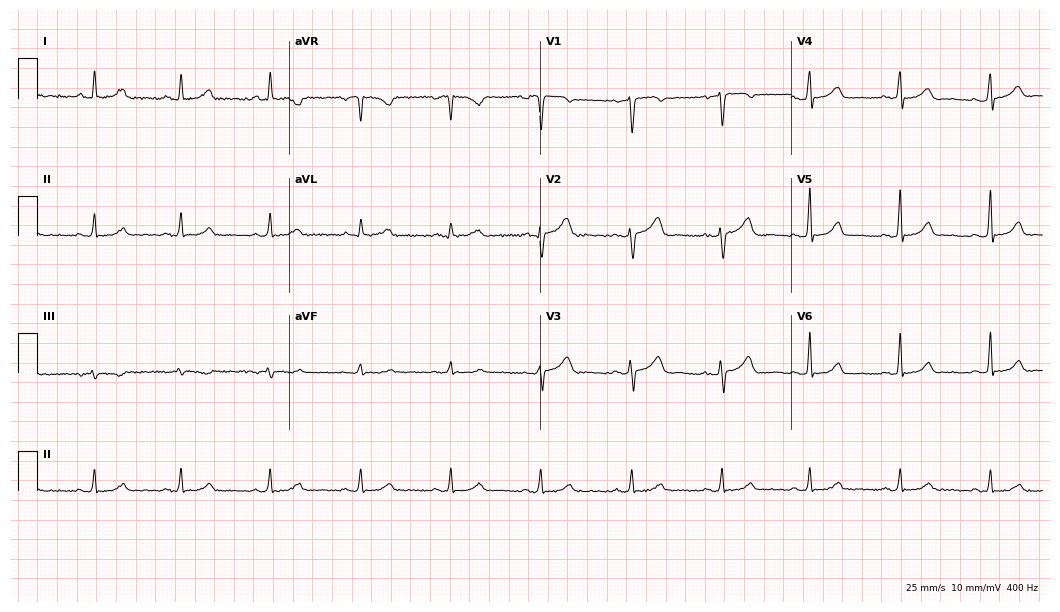
ECG — a 53-year-old female patient. Labelled as a normal ECG.